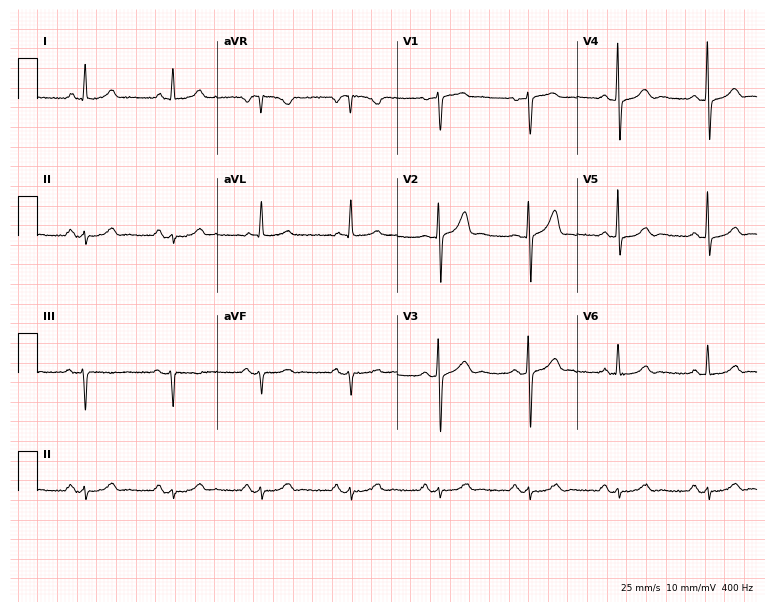
12-lead ECG from a male, 59 years old (7.3-second recording at 400 Hz). No first-degree AV block, right bundle branch block (RBBB), left bundle branch block (LBBB), sinus bradycardia, atrial fibrillation (AF) or sinus tachycardia recorded for this tracing. Other findings, if any, are not listed.